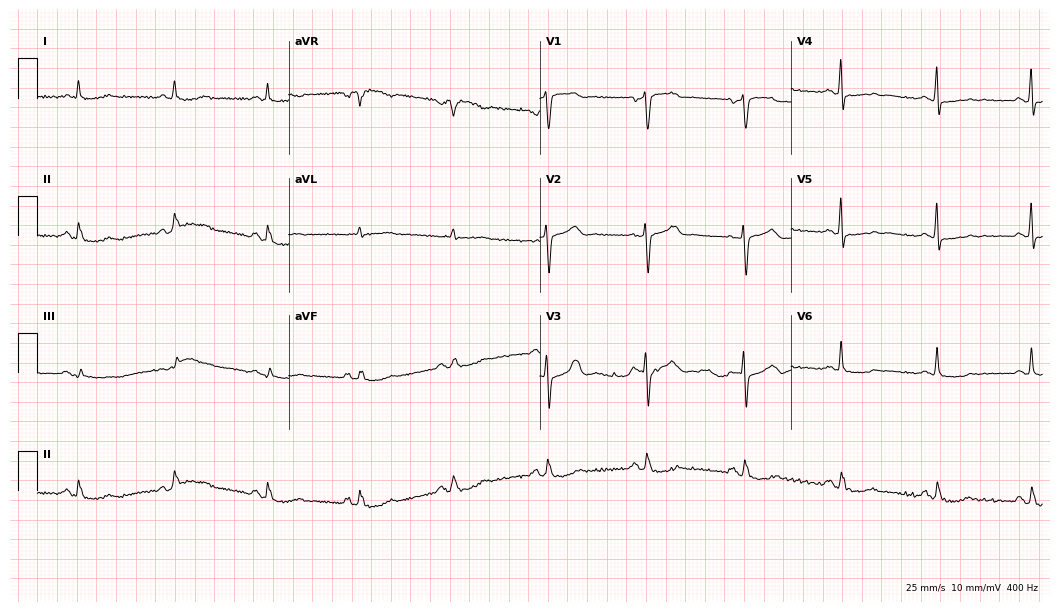
12-lead ECG (10.2-second recording at 400 Hz) from a 72-year-old man. Screened for six findings — first-degree AV block, right bundle branch block, left bundle branch block, sinus bradycardia, atrial fibrillation, sinus tachycardia — none is recorded. Only these six findings were labelled.